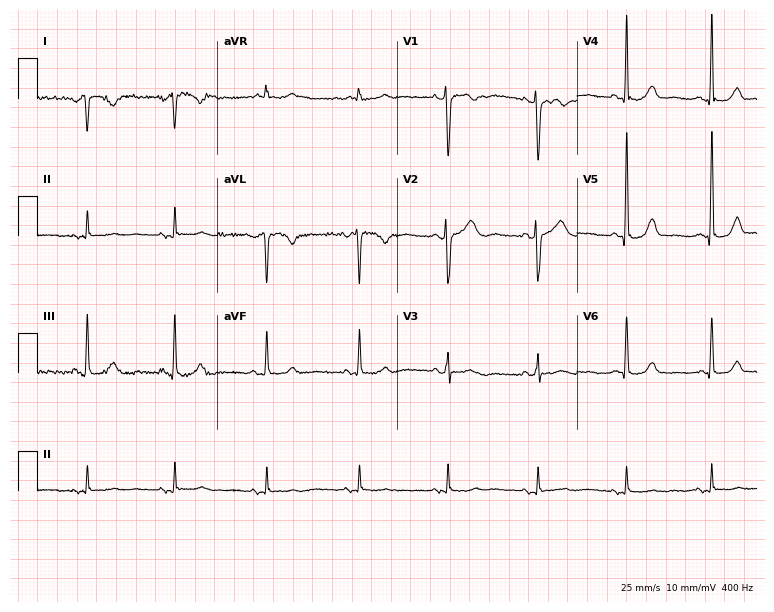
Electrocardiogram, a female, 49 years old. Of the six screened findings (first-degree AV block, right bundle branch block (RBBB), left bundle branch block (LBBB), sinus bradycardia, atrial fibrillation (AF), sinus tachycardia), none is recorded. Only these six findings were labelled.